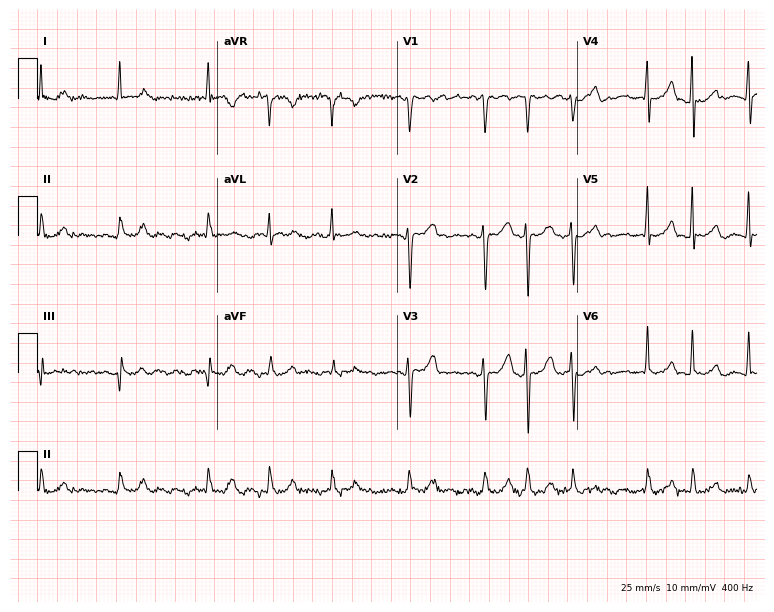
Standard 12-lead ECG recorded from a woman, 78 years old. The tracing shows atrial fibrillation.